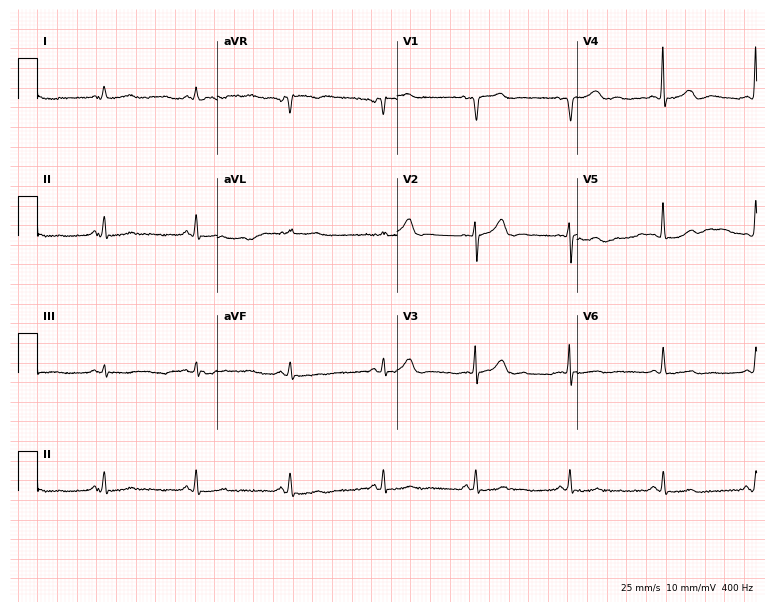
Standard 12-lead ECG recorded from a female, 69 years old (7.3-second recording at 400 Hz). None of these six findings is recorded: first-degree AV block, right bundle branch block, left bundle branch block, sinus bradycardia, atrial fibrillation, sinus tachycardia.